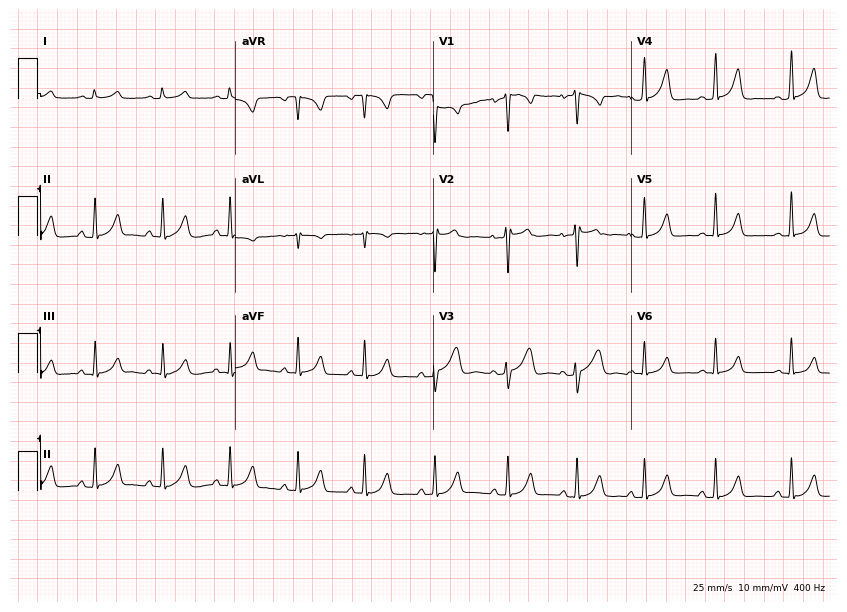
Standard 12-lead ECG recorded from a female patient, 29 years old (8.1-second recording at 400 Hz). Read as a normal ECG.